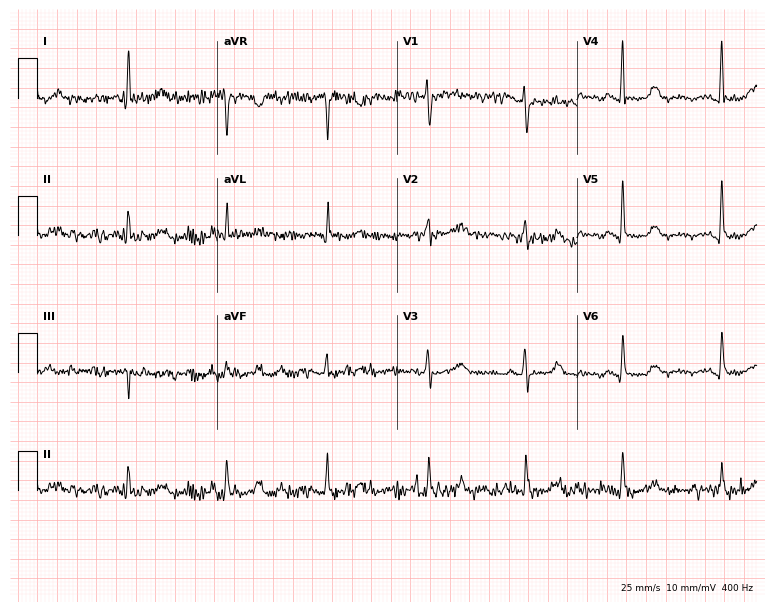
Standard 12-lead ECG recorded from a female, 59 years old. None of these six findings is recorded: first-degree AV block, right bundle branch block, left bundle branch block, sinus bradycardia, atrial fibrillation, sinus tachycardia. Only these six findings were labelled.